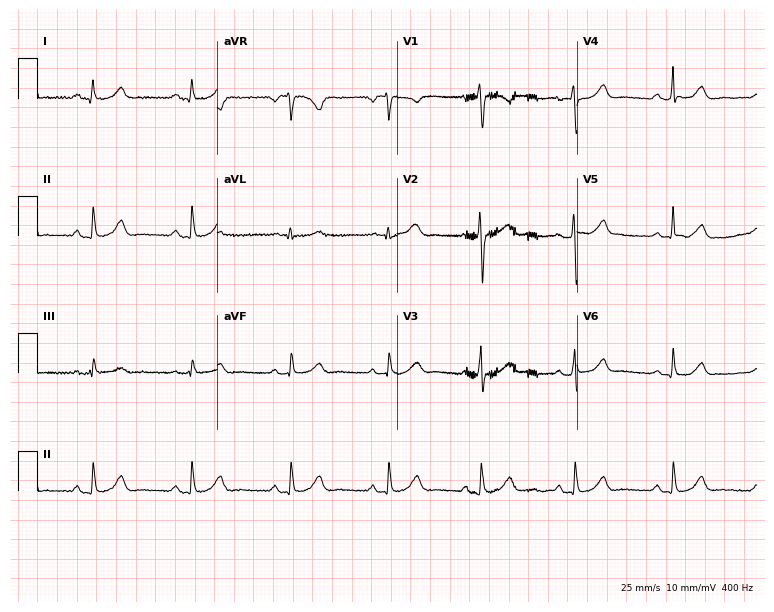
12-lead ECG from a female, 39 years old. No first-degree AV block, right bundle branch block, left bundle branch block, sinus bradycardia, atrial fibrillation or sinus tachycardia recorded for this tracing.